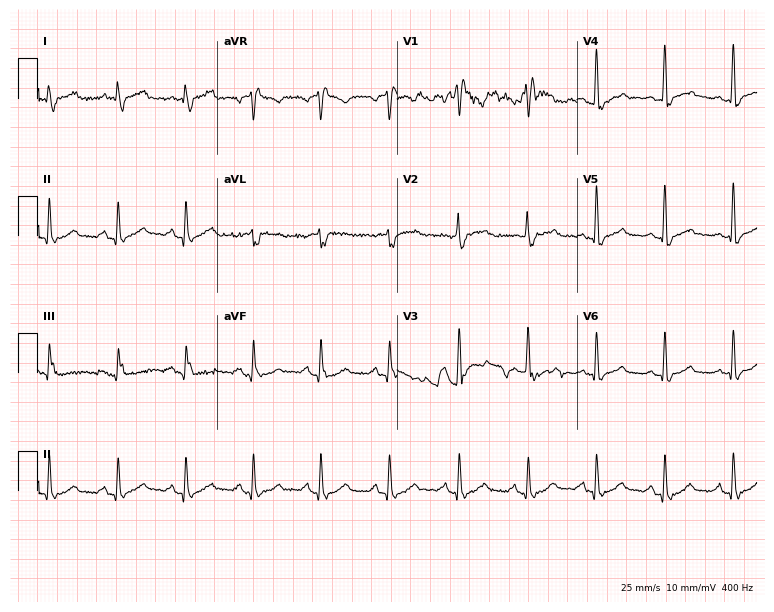
12-lead ECG from a man, 66 years old (7.3-second recording at 400 Hz). Shows right bundle branch block (RBBB).